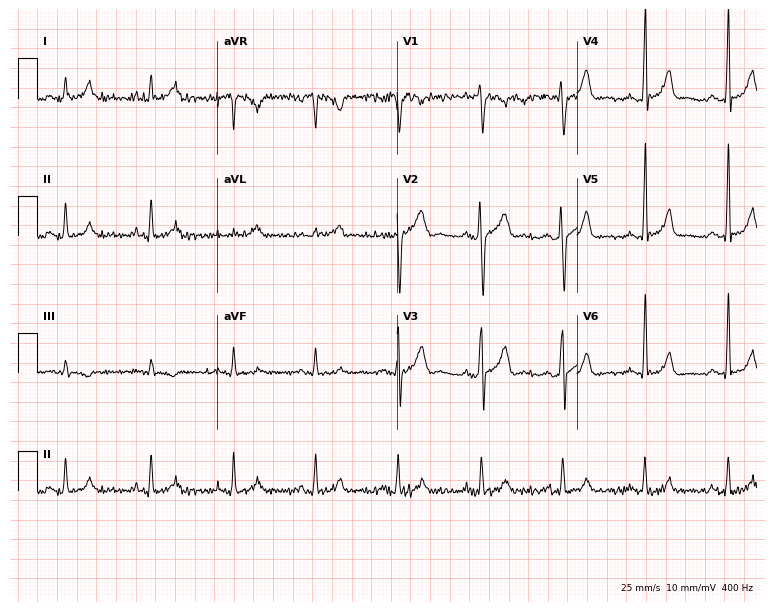
Resting 12-lead electrocardiogram. Patient: a 46-year-old male. Read as a normal ECG.